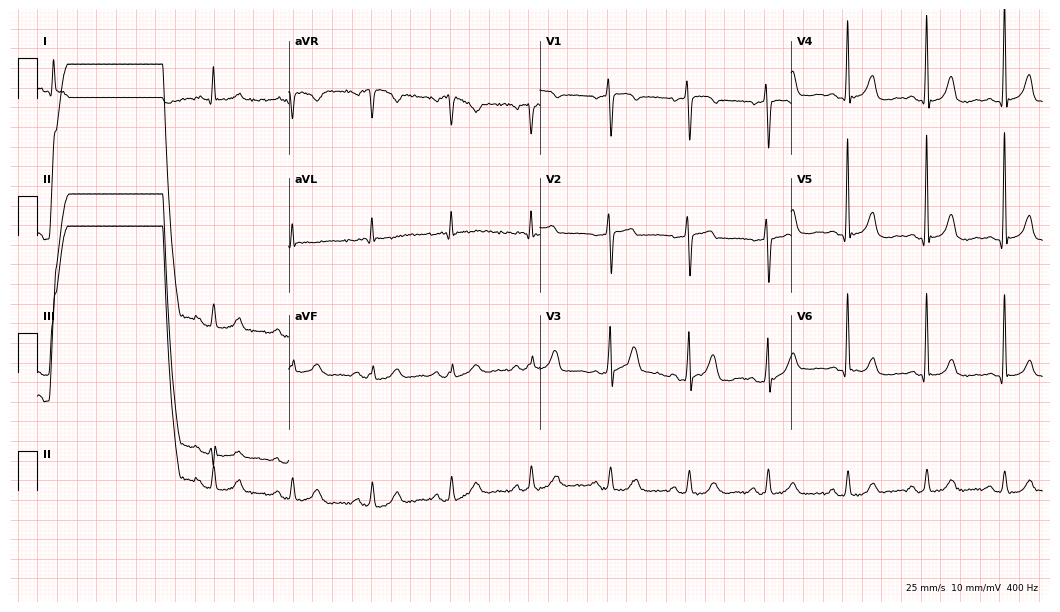
Resting 12-lead electrocardiogram (10.2-second recording at 400 Hz). Patient: a woman, 66 years old. None of these six findings is recorded: first-degree AV block, right bundle branch block, left bundle branch block, sinus bradycardia, atrial fibrillation, sinus tachycardia.